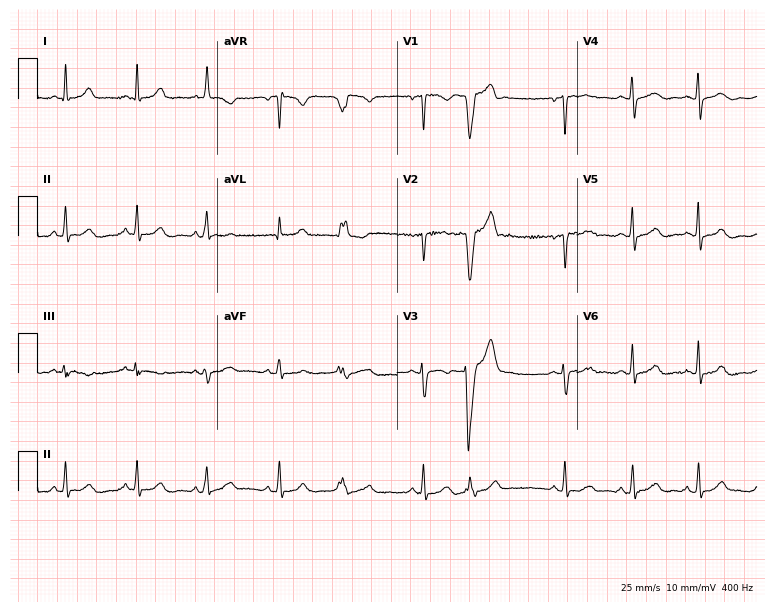
Standard 12-lead ECG recorded from a 44-year-old female. None of these six findings is recorded: first-degree AV block, right bundle branch block, left bundle branch block, sinus bradycardia, atrial fibrillation, sinus tachycardia.